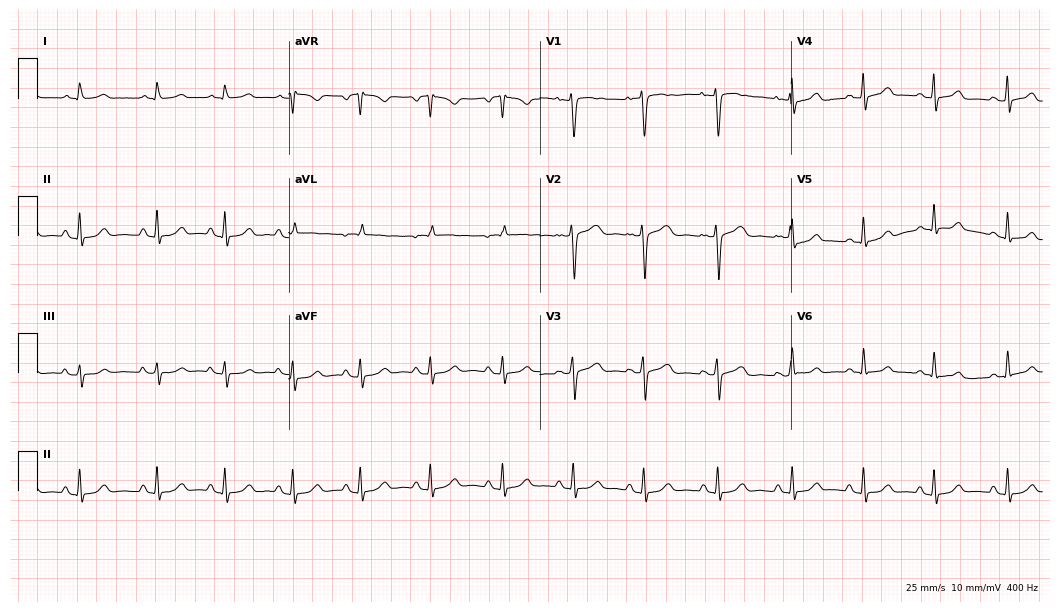
12-lead ECG from a female, 23 years old. Labelled as a normal ECG.